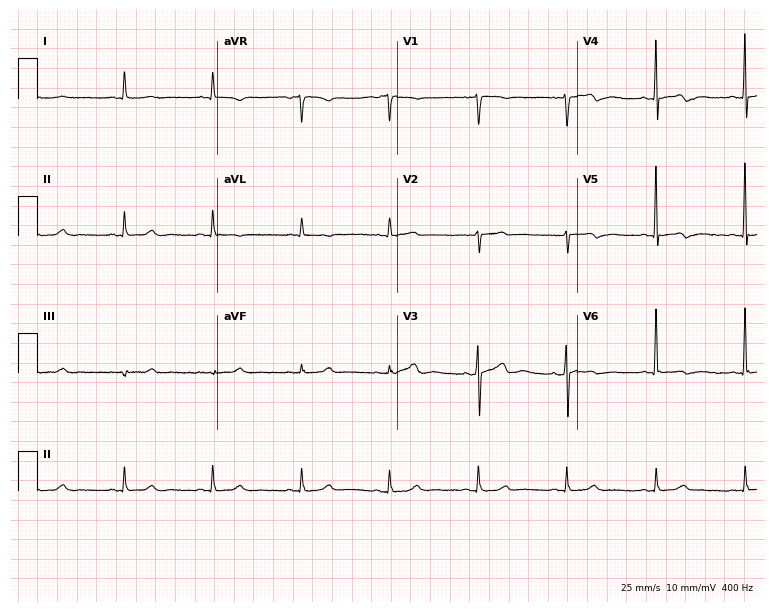
ECG (7.3-second recording at 400 Hz) — a male, 85 years old. Screened for six findings — first-degree AV block, right bundle branch block (RBBB), left bundle branch block (LBBB), sinus bradycardia, atrial fibrillation (AF), sinus tachycardia — none is recorded. Only these six findings were labelled.